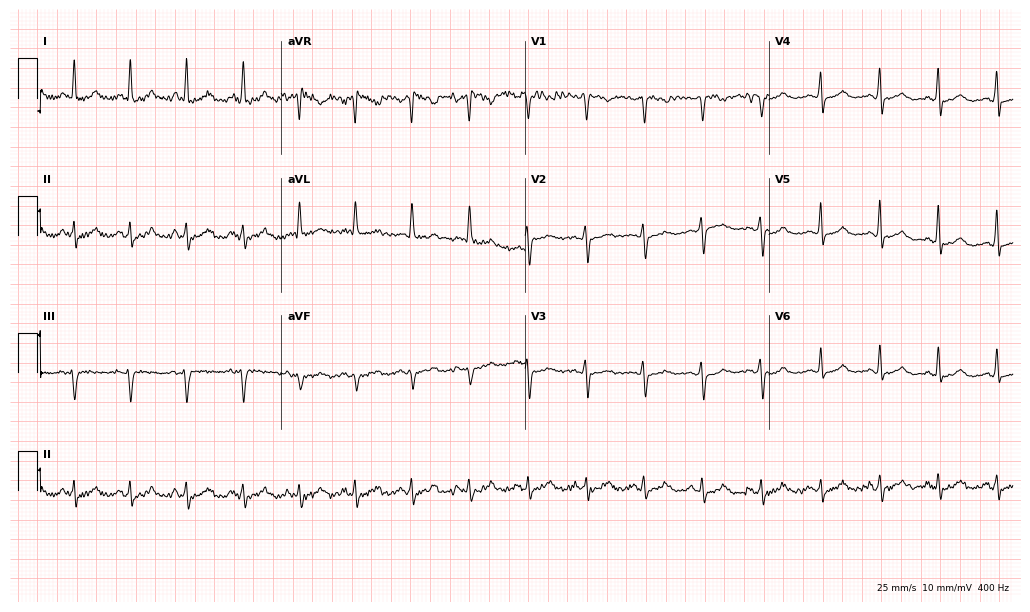
Standard 12-lead ECG recorded from a female patient, 37 years old. None of these six findings is recorded: first-degree AV block, right bundle branch block, left bundle branch block, sinus bradycardia, atrial fibrillation, sinus tachycardia.